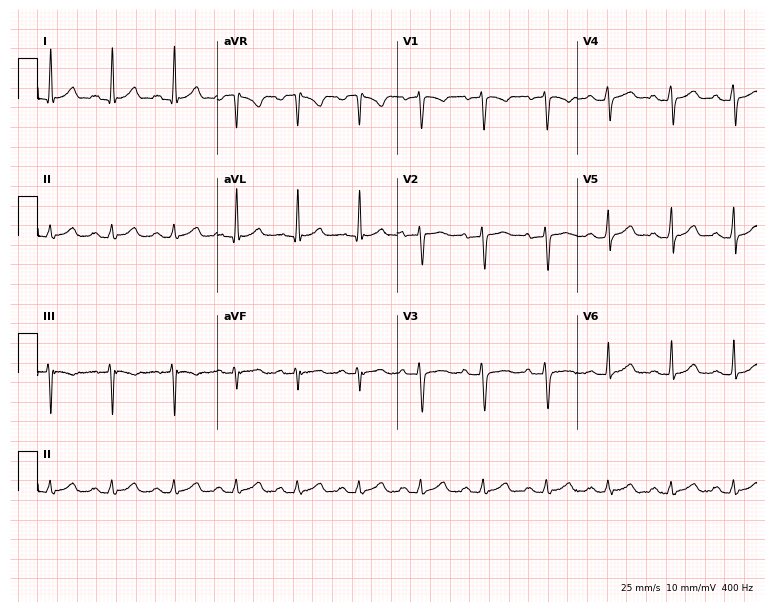
12-lead ECG (7.3-second recording at 400 Hz) from a 39-year-old male. Screened for six findings — first-degree AV block, right bundle branch block, left bundle branch block, sinus bradycardia, atrial fibrillation, sinus tachycardia — none is recorded.